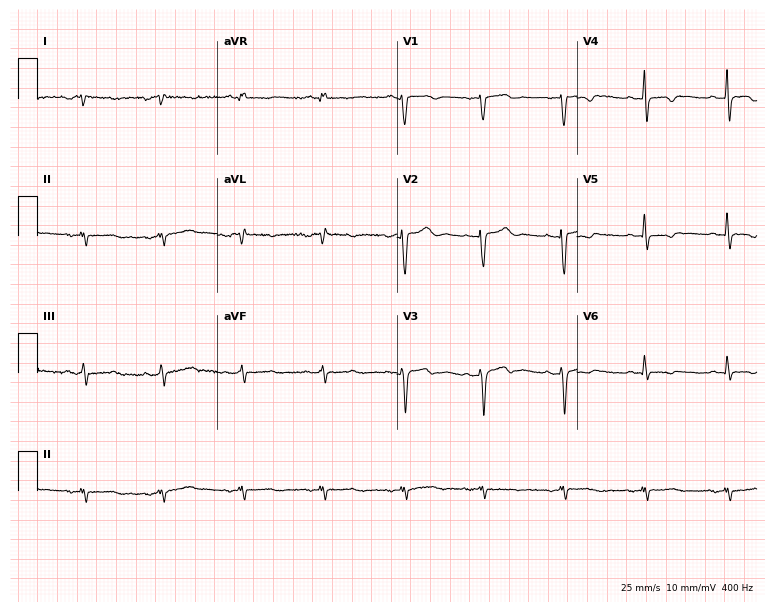
12-lead ECG from a female, 35 years old. Screened for six findings — first-degree AV block, right bundle branch block (RBBB), left bundle branch block (LBBB), sinus bradycardia, atrial fibrillation (AF), sinus tachycardia — none is recorded. Other findings, if any, are not listed.